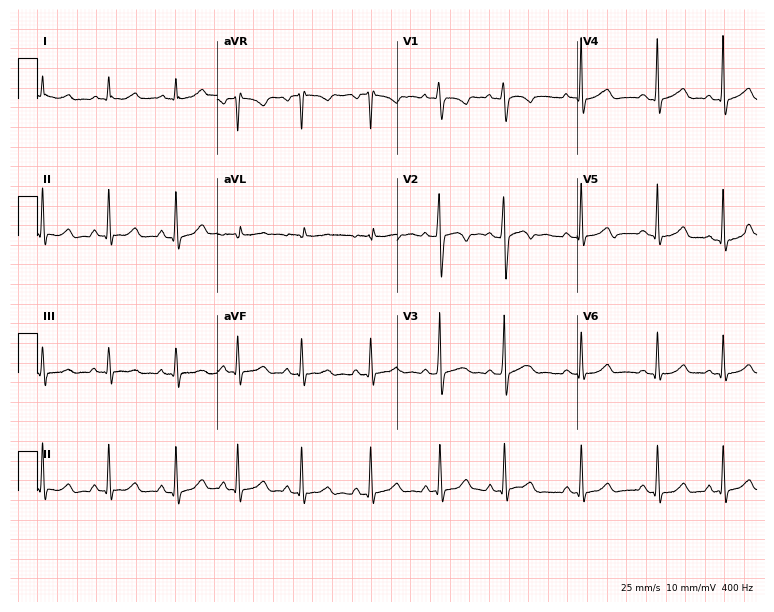
Resting 12-lead electrocardiogram. Patient: a female, 18 years old. Read as a normal ECG.